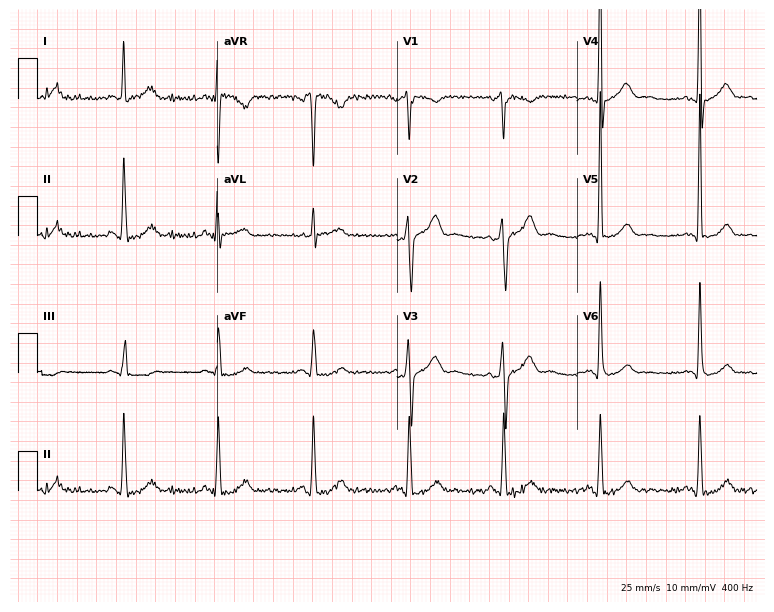
ECG (7.3-second recording at 400 Hz) — a 45-year-old male. Labelled as a normal ECG.